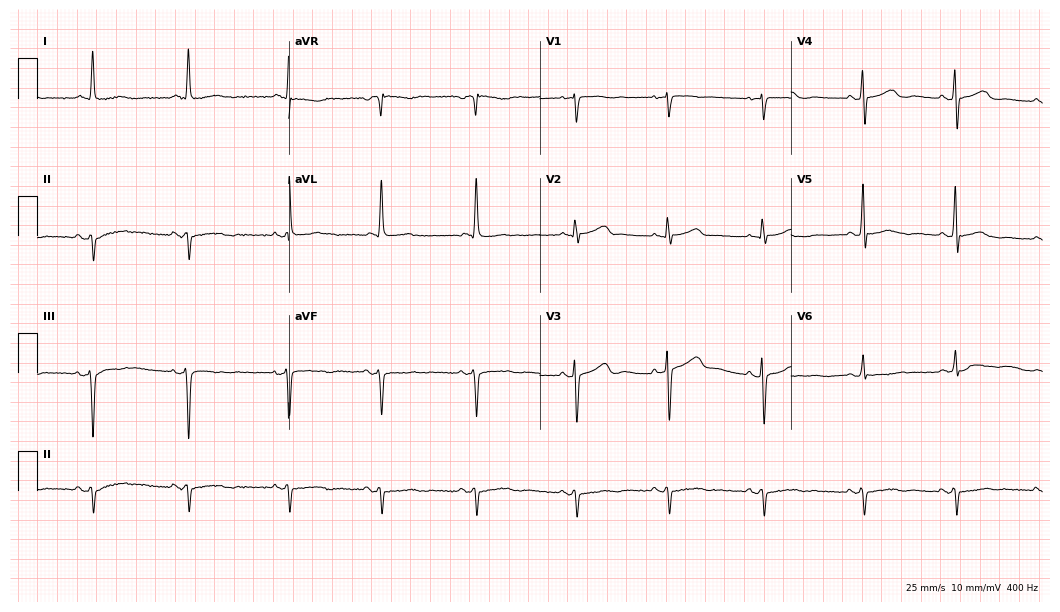
Electrocardiogram (10.2-second recording at 400 Hz), a woman, 81 years old. Of the six screened findings (first-degree AV block, right bundle branch block, left bundle branch block, sinus bradycardia, atrial fibrillation, sinus tachycardia), none is recorded.